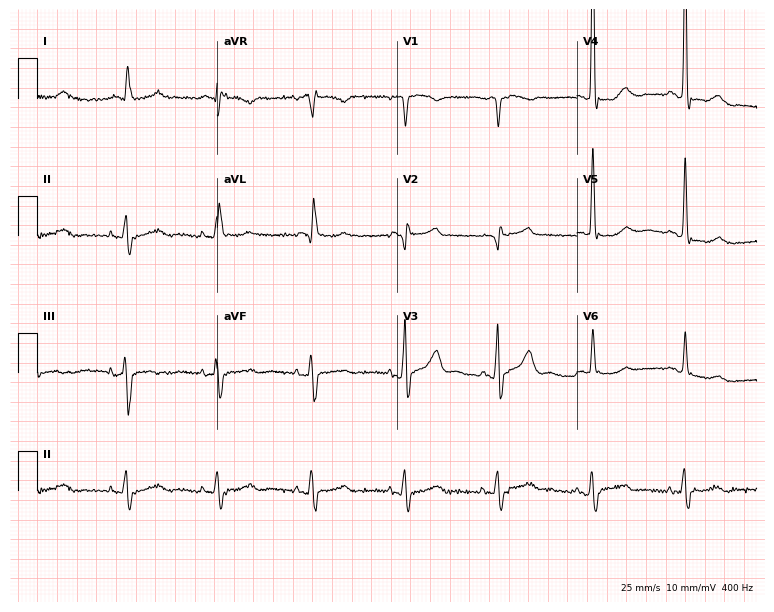
Standard 12-lead ECG recorded from a male patient, 64 years old (7.3-second recording at 400 Hz). None of these six findings is recorded: first-degree AV block, right bundle branch block, left bundle branch block, sinus bradycardia, atrial fibrillation, sinus tachycardia.